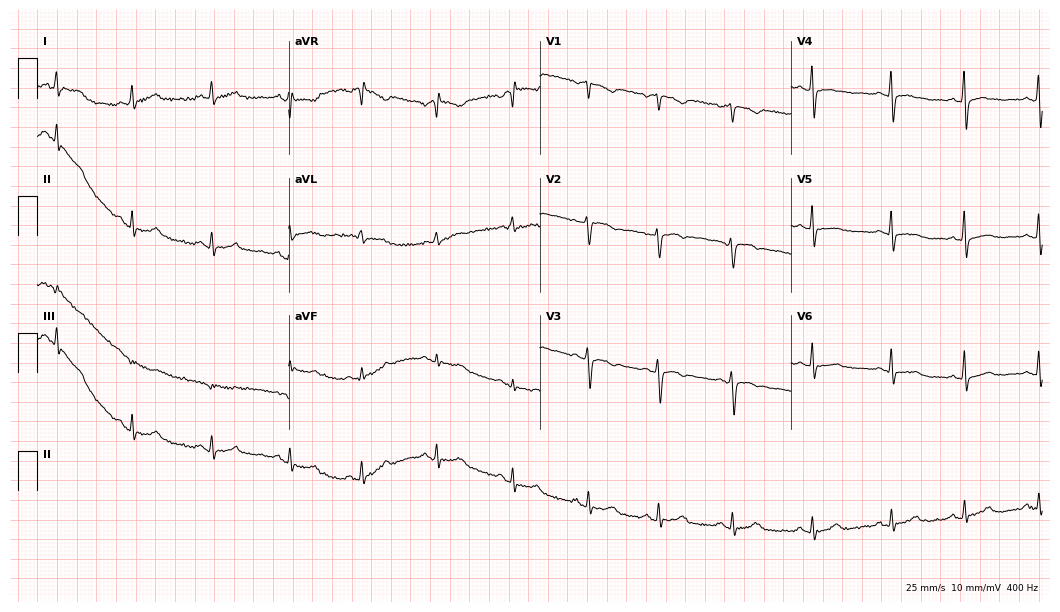
Standard 12-lead ECG recorded from a 47-year-old female (10.2-second recording at 400 Hz). None of these six findings is recorded: first-degree AV block, right bundle branch block (RBBB), left bundle branch block (LBBB), sinus bradycardia, atrial fibrillation (AF), sinus tachycardia. Other findings, if any, are not listed.